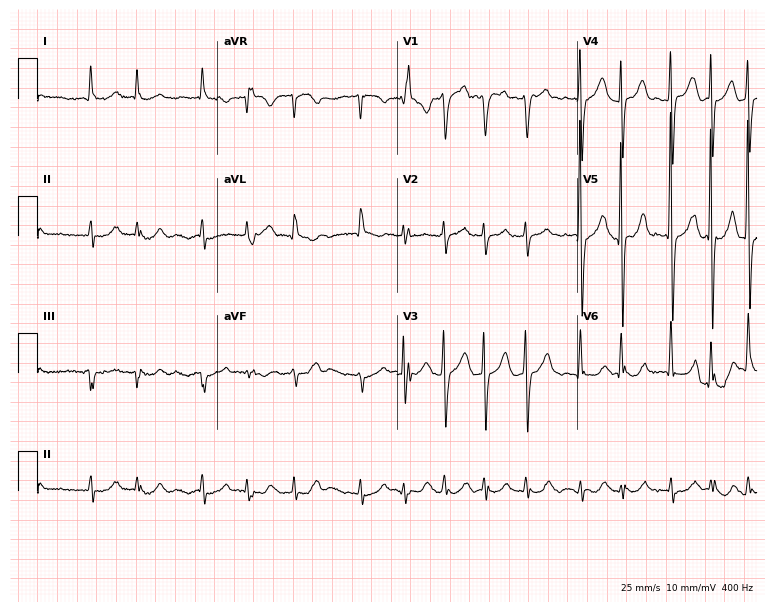
Electrocardiogram (7.3-second recording at 400 Hz), a male patient, 77 years old. Interpretation includes atrial fibrillation.